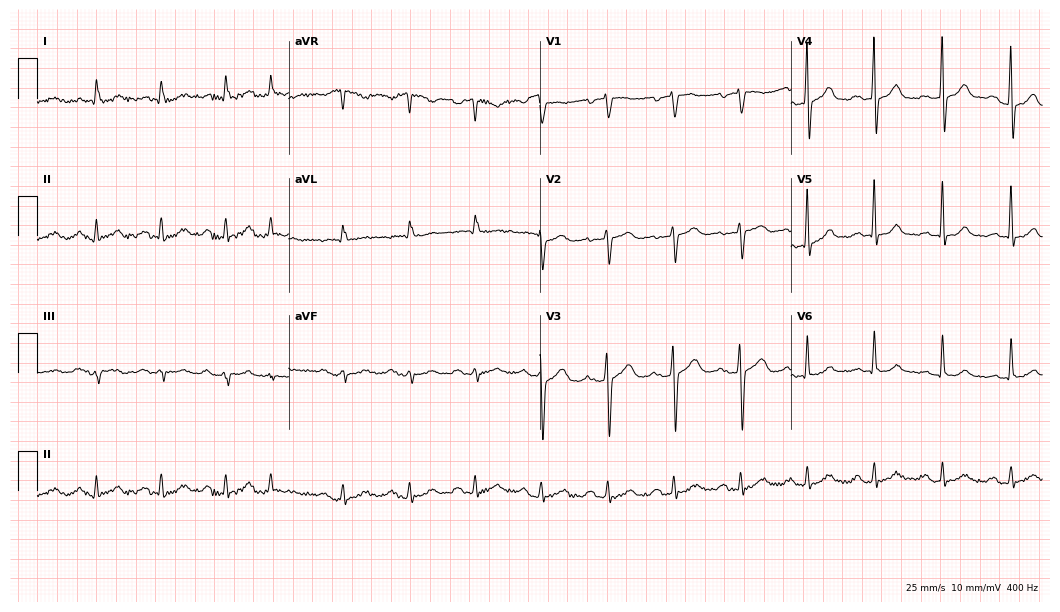
Standard 12-lead ECG recorded from an 80-year-old male. None of these six findings is recorded: first-degree AV block, right bundle branch block, left bundle branch block, sinus bradycardia, atrial fibrillation, sinus tachycardia. Findings outside these six are not listed.